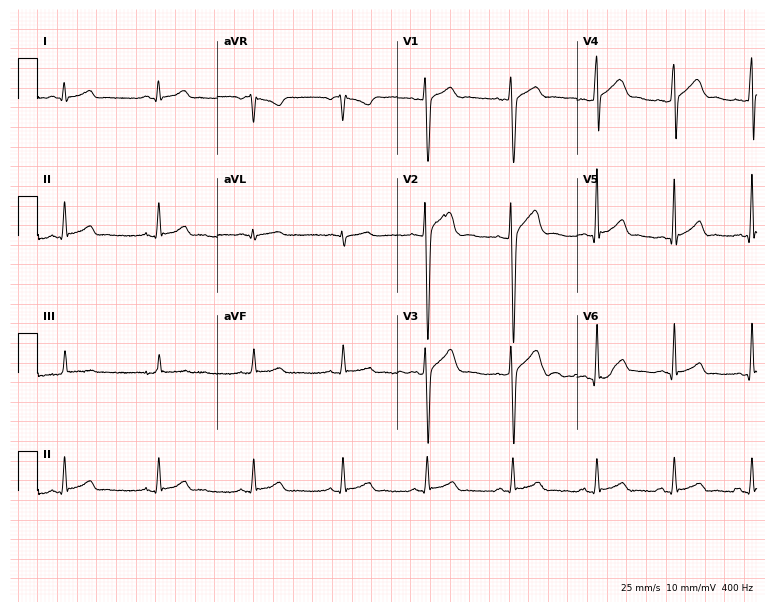
Standard 12-lead ECG recorded from a male, 19 years old (7.3-second recording at 400 Hz). None of these six findings is recorded: first-degree AV block, right bundle branch block, left bundle branch block, sinus bradycardia, atrial fibrillation, sinus tachycardia.